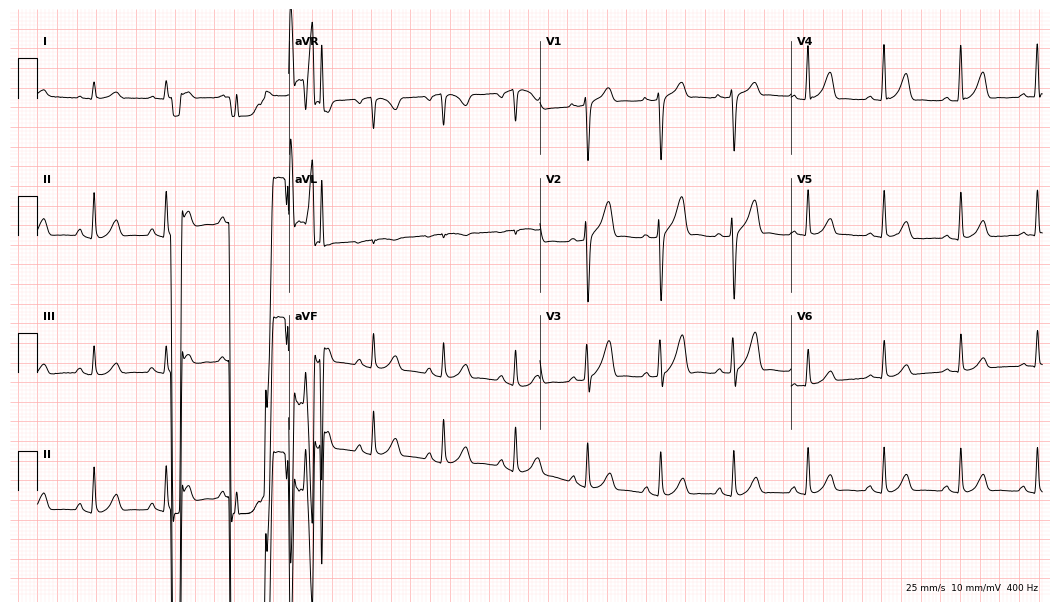
Electrocardiogram, a male patient, 61 years old. Overall reading on record: normal ECG.